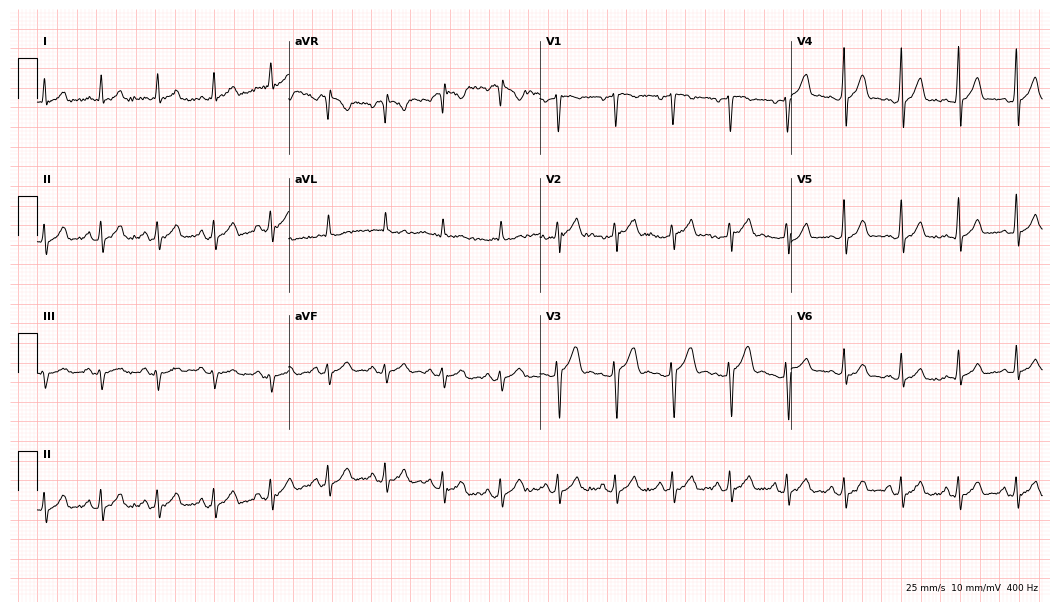
Standard 12-lead ECG recorded from a 33-year-old man (10.2-second recording at 400 Hz). The tracing shows sinus tachycardia (a sinus rate of 100 beats per minute or more).